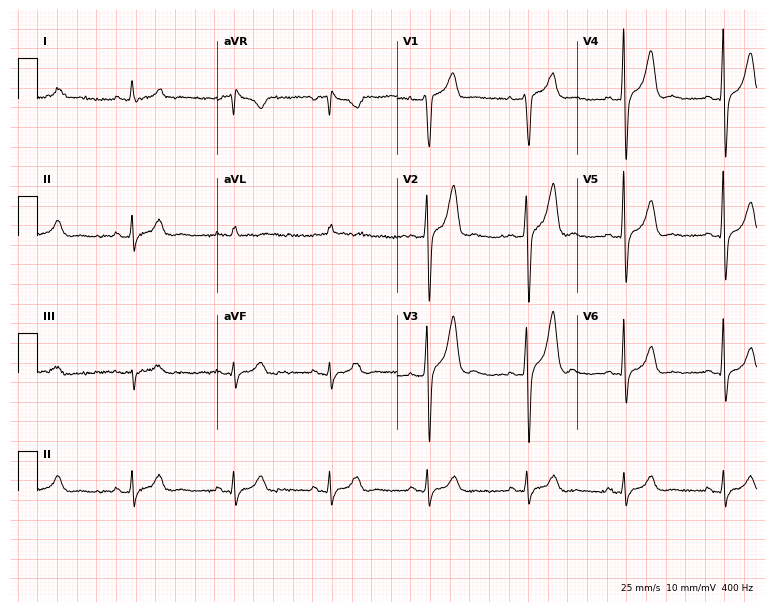
12-lead ECG from a man, 41 years old. No first-degree AV block, right bundle branch block, left bundle branch block, sinus bradycardia, atrial fibrillation or sinus tachycardia recorded for this tracing. Only these six findings were labelled.